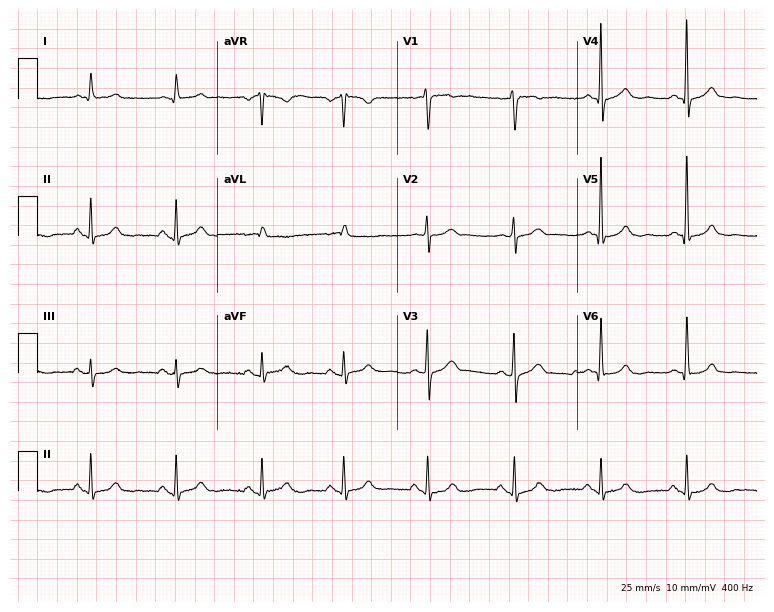
Electrocardiogram (7.3-second recording at 400 Hz), a man, 64 years old. Of the six screened findings (first-degree AV block, right bundle branch block, left bundle branch block, sinus bradycardia, atrial fibrillation, sinus tachycardia), none is recorded.